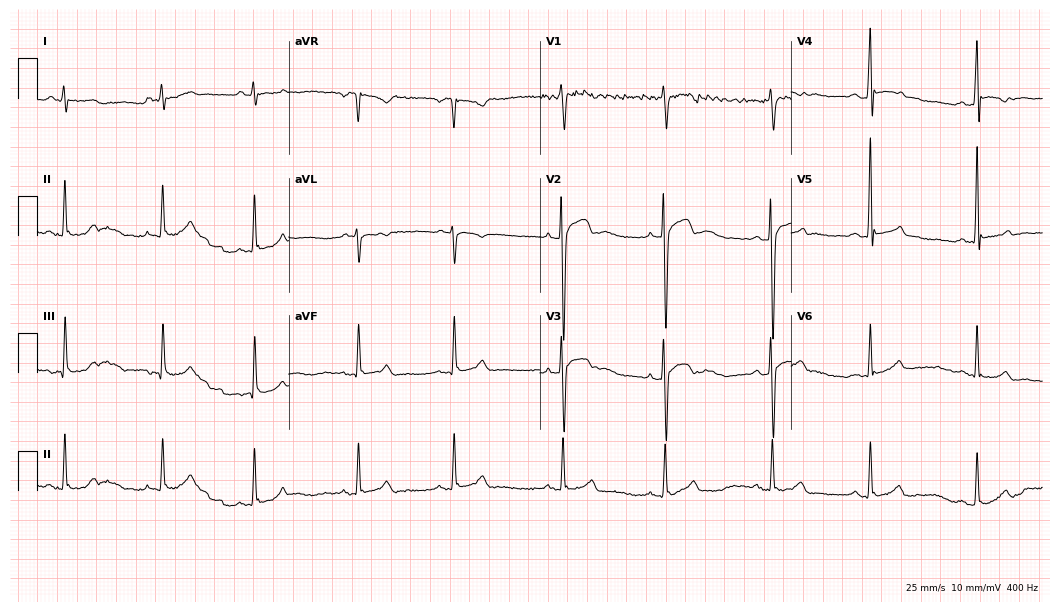
12-lead ECG from a 26-year-old male (10.2-second recording at 400 Hz). No first-degree AV block, right bundle branch block, left bundle branch block, sinus bradycardia, atrial fibrillation or sinus tachycardia recorded for this tracing. Only these six findings were labelled.